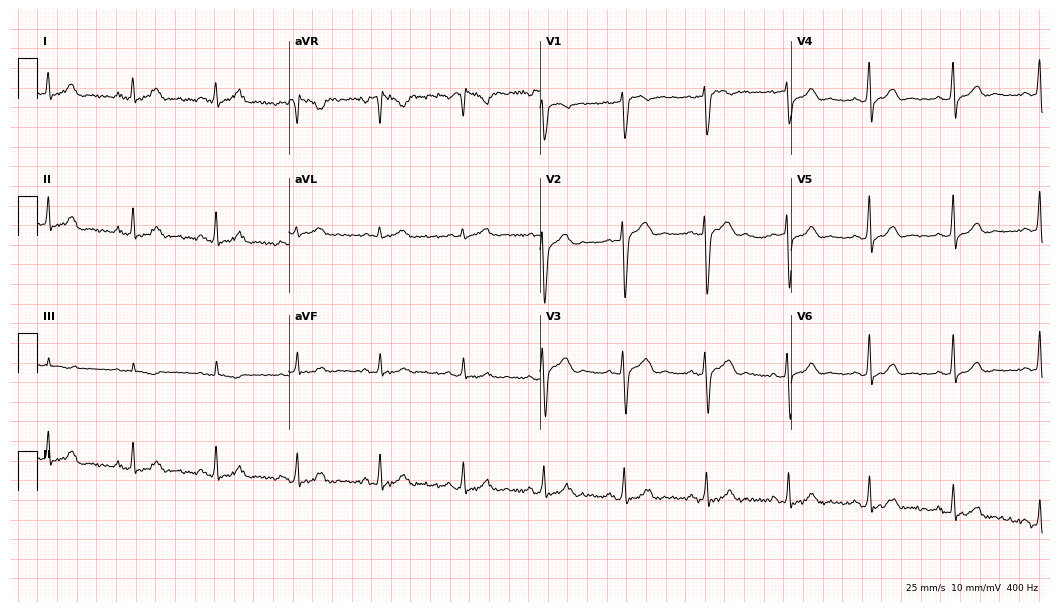
Electrocardiogram, a man, 38 years old. Overall reading on record: normal ECG.